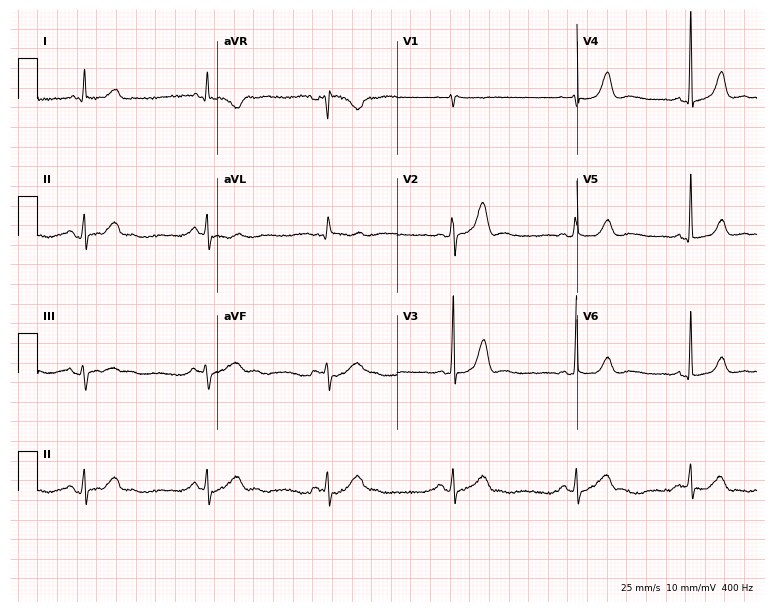
12-lead ECG from a 36-year-old female patient. Labelled as a normal ECG.